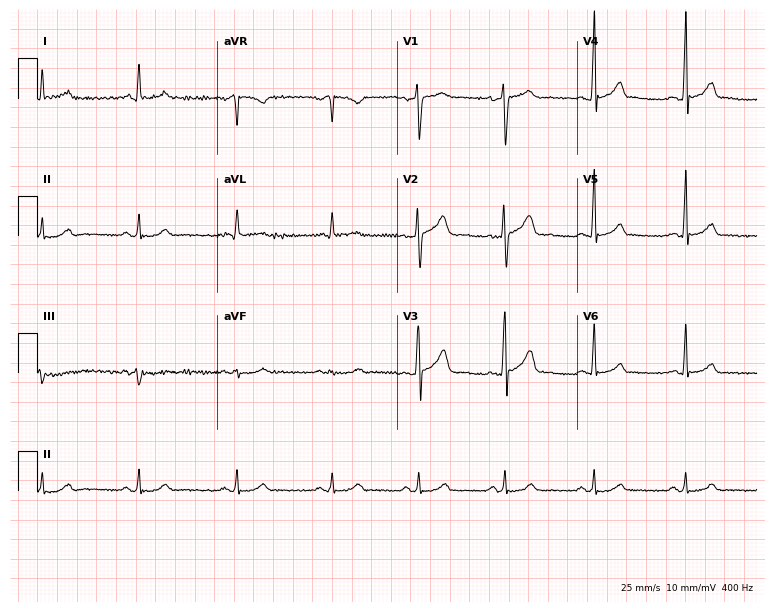
ECG (7.3-second recording at 400 Hz) — a male, 39 years old. Screened for six findings — first-degree AV block, right bundle branch block, left bundle branch block, sinus bradycardia, atrial fibrillation, sinus tachycardia — none is recorded. Only these six findings were labelled.